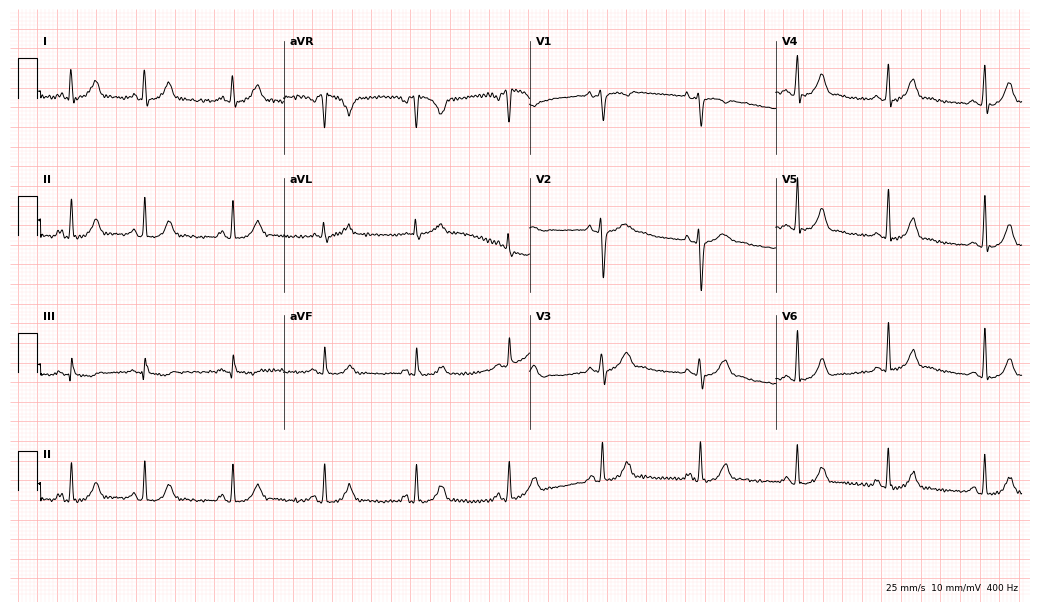
Electrocardiogram, a woman, 20 years old. Overall reading on record: normal ECG.